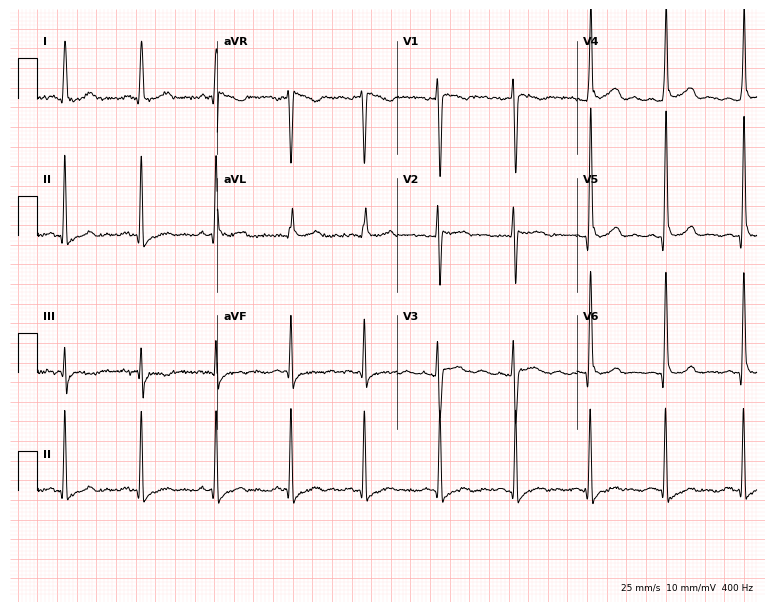
12-lead ECG from a 36-year-old female patient. Screened for six findings — first-degree AV block, right bundle branch block (RBBB), left bundle branch block (LBBB), sinus bradycardia, atrial fibrillation (AF), sinus tachycardia — none is recorded. Findings outside these six are not listed.